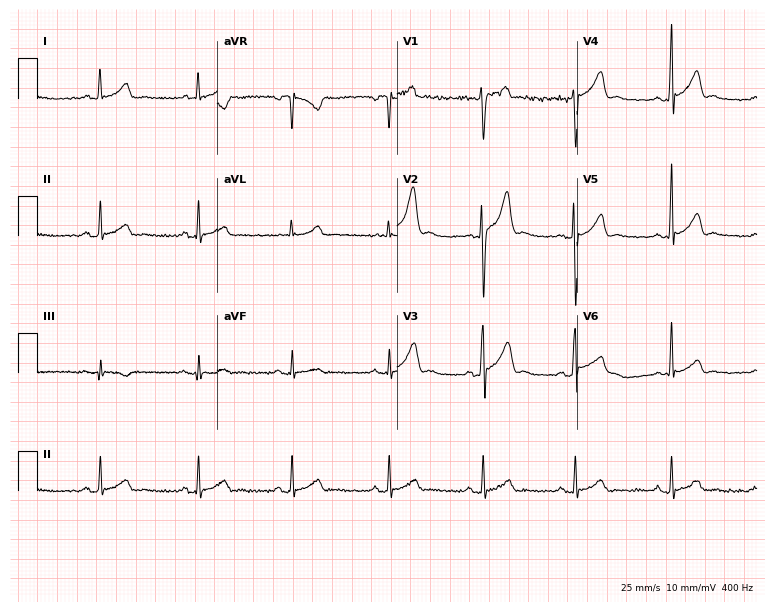
12-lead ECG from a male, 44 years old. No first-degree AV block, right bundle branch block (RBBB), left bundle branch block (LBBB), sinus bradycardia, atrial fibrillation (AF) or sinus tachycardia recorded for this tracing. Other findings, if any, are not listed.